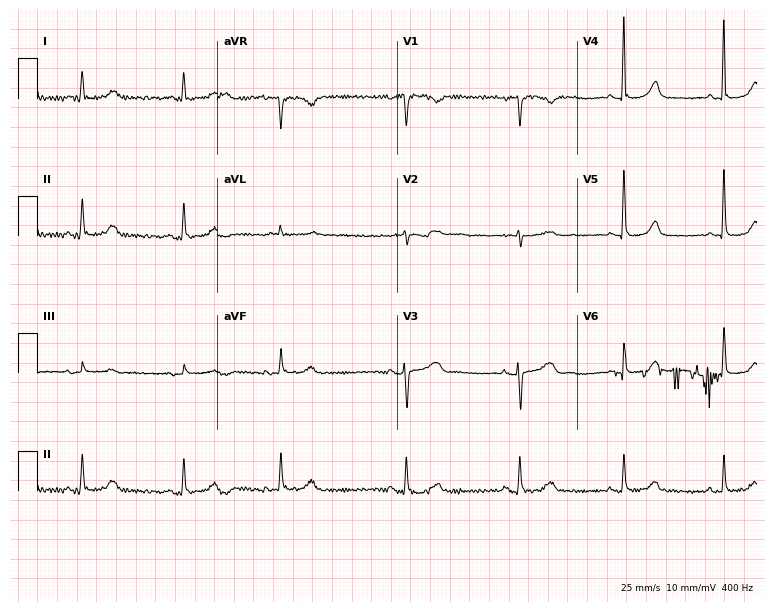
12-lead ECG from a 75-year-old woman. Recorded interpretation: within normal limits.